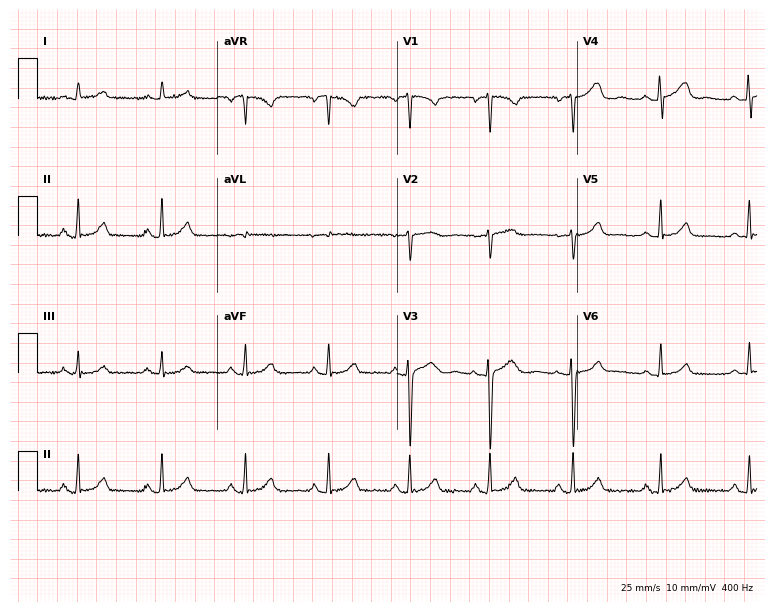
Electrocardiogram (7.3-second recording at 400 Hz), a female, 46 years old. Of the six screened findings (first-degree AV block, right bundle branch block, left bundle branch block, sinus bradycardia, atrial fibrillation, sinus tachycardia), none is recorded.